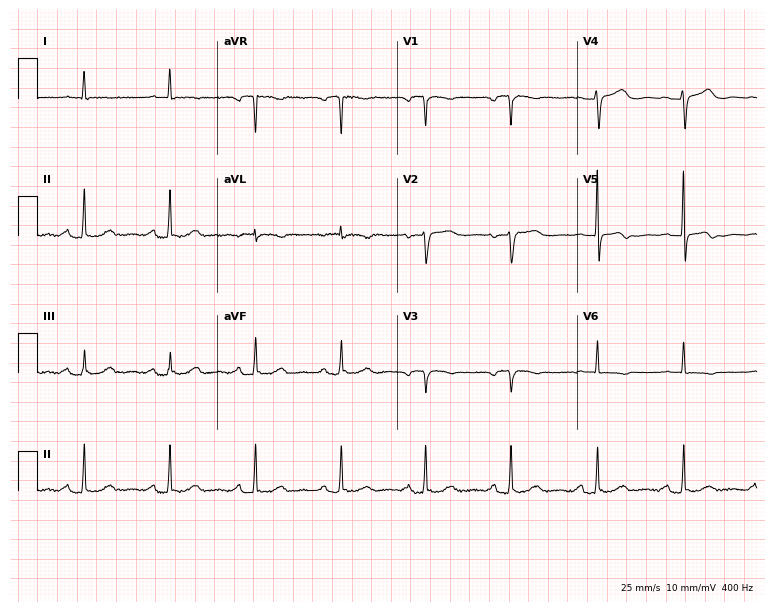
12-lead ECG from a female patient, 82 years old (7.3-second recording at 400 Hz). No first-degree AV block, right bundle branch block, left bundle branch block, sinus bradycardia, atrial fibrillation or sinus tachycardia recorded for this tracing.